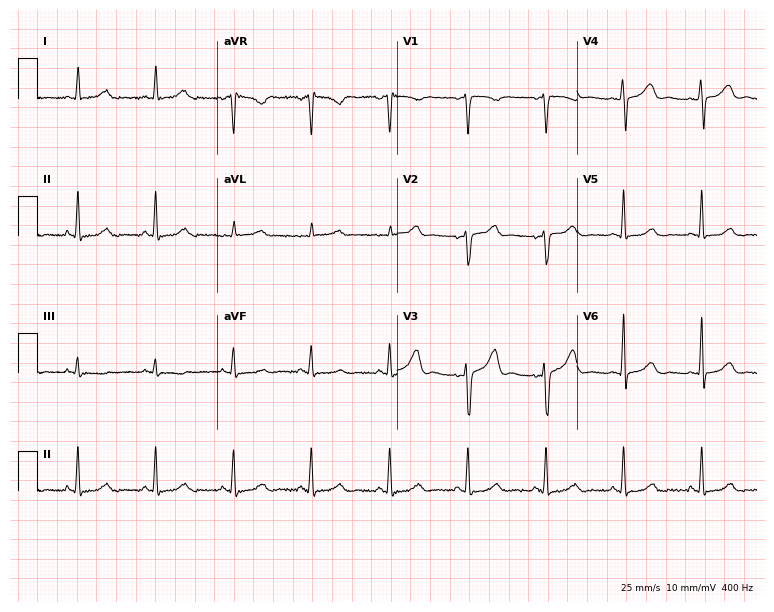
Resting 12-lead electrocardiogram. Patient: a female, 45 years old. None of these six findings is recorded: first-degree AV block, right bundle branch block, left bundle branch block, sinus bradycardia, atrial fibrillation, sinus tachycardia. Other findings, if any, are not listed.